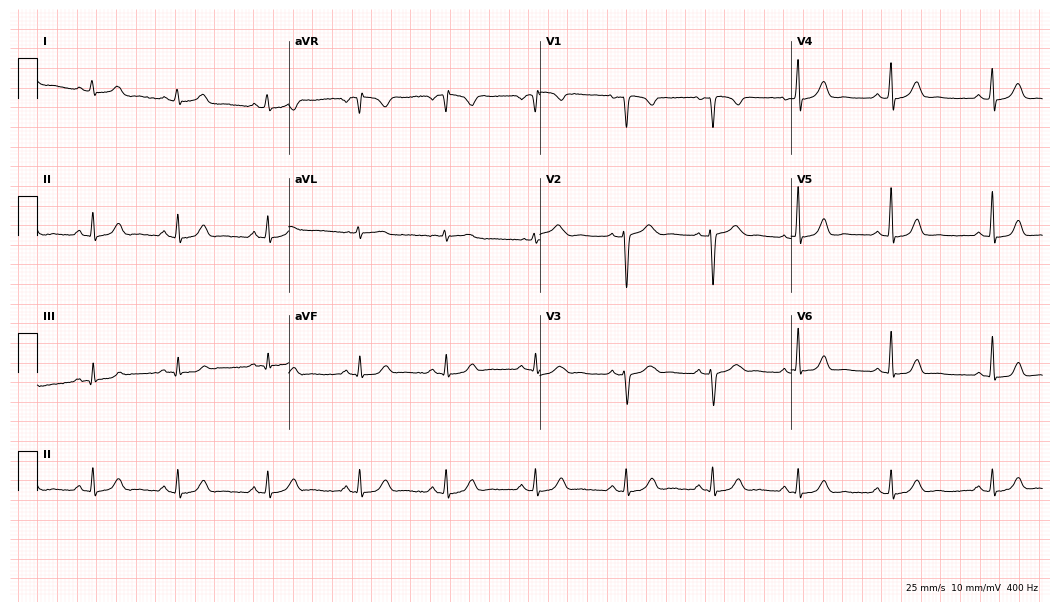
Resting 12-lead electrocardiogram (10.2-second recording at 400 Hz). Patient: a female, 36 years old. Read as a normal ECG.